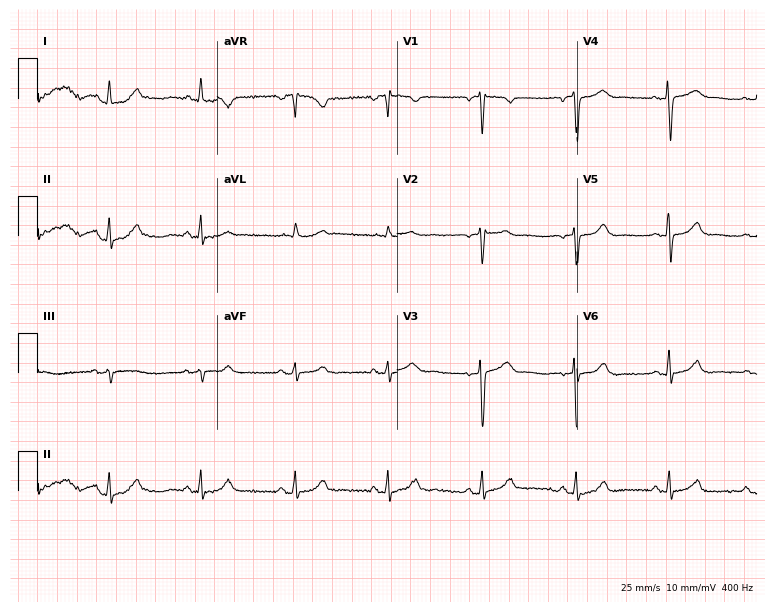
Standard 12-lead ECG recorded from a female patient, 56 years old (7.3-second recording at 400 Hz). None of these six findings is recorded: first-degree AV block, right bundle branch block, left bundle branch block, sinus bradycardia, atrial fibrillation, sinus tachycardia. Findings outside these six are not listed.